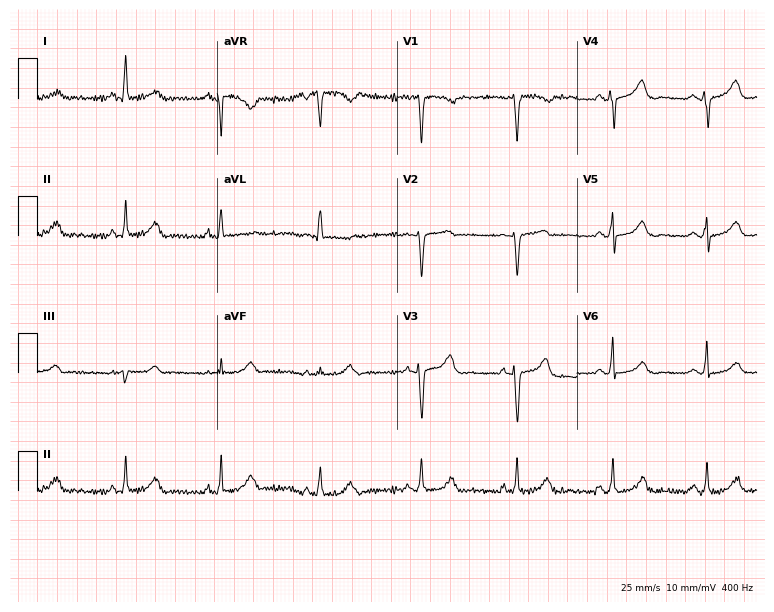
Resting 12-lead electrocardiogram. Patient: a 52-year-old female. None of these six findings is recorded: first-degree AV block, right bundle branch block, left bundle branch block, sinus bradycardia, atrial fibrillation, sinus tachycardia. Only these six findings were labelled.